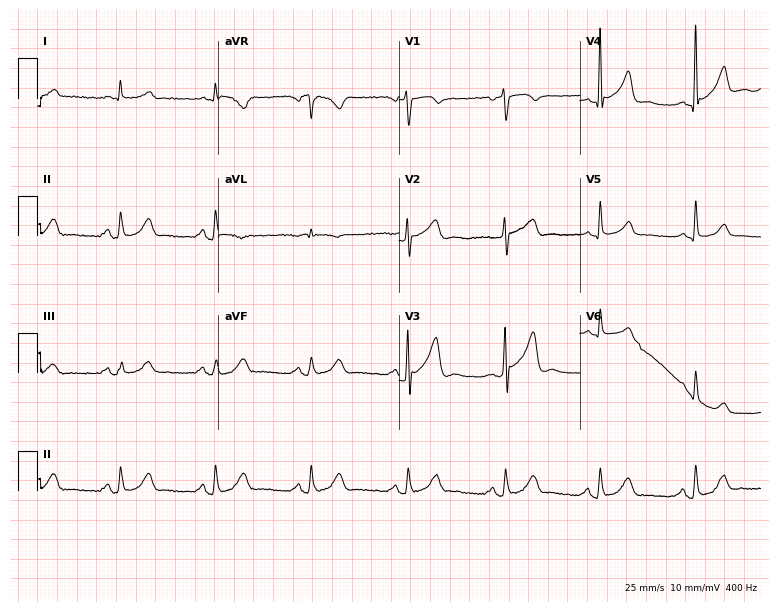
Standard 12-lead ECG recorded from a 65-year-old male. None of these six findings is recorded: first-degree AV block, right bundle branch block (RBBB), left bundle branch block (LBBB), sinus bradycardia, atrial fibrillation (AF), sinus tachycardia. Only these six findings were labelled.